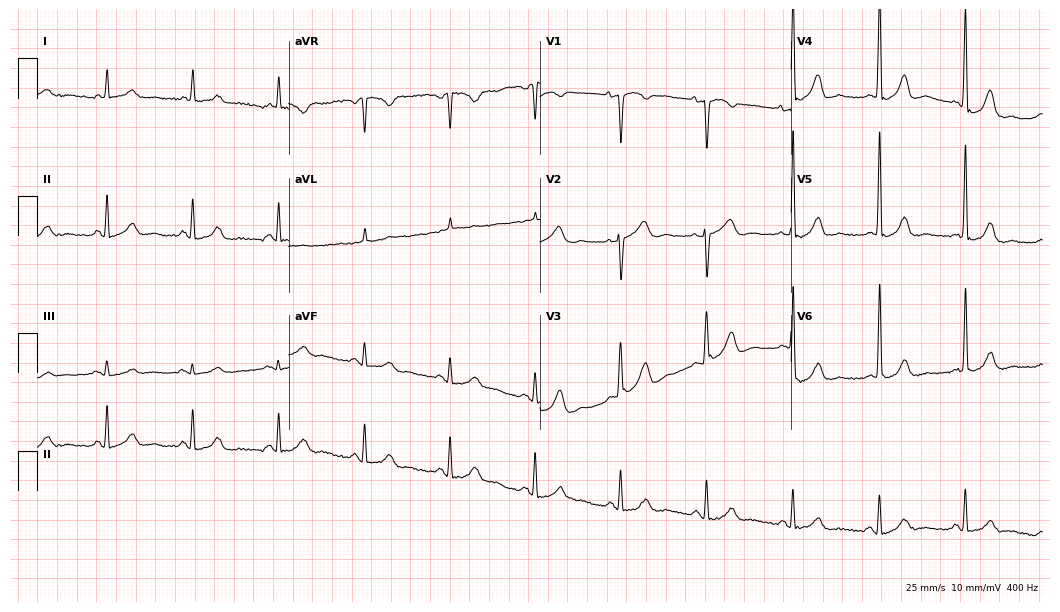
ECG — a 69-year-old woman. Labelled as a normal ECG.